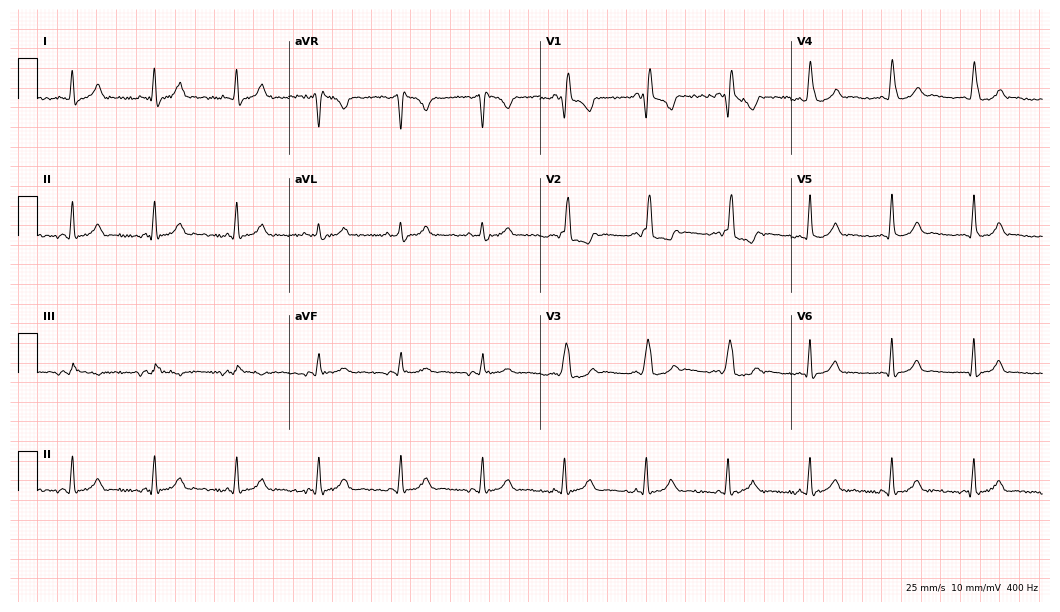
Resting 12-lead electrocardiogram (10.2-second recording at 400 Hz). Patient: a 26-year-old woman. The tracing shows right bundle branch block.